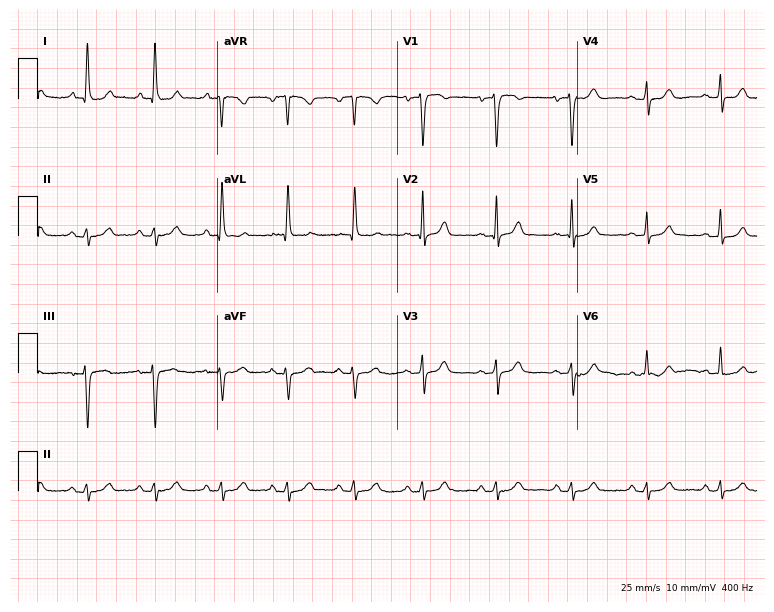
Electrocardiogram (7.3-second recording at 400 Hz), a woman, 76 years old. Of the six screened findings (first-degree AV block, right bundle branch block (RBBB), left bundle branch block (LBBB), sinus bradycardia, atrial fibrillation (AF), sinus tachycardia), none is recorded. Other findings, if any, are not listed.